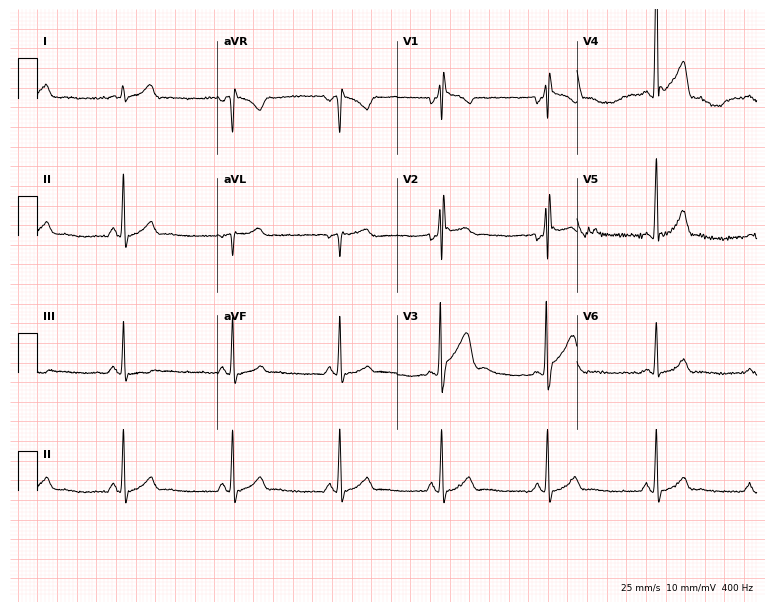
ECG — a man, 32 years old. Screened for six findings — first-degree AV block, right bundle branch block (RBBB), left bundle branch block (LBBB), sinus bradycardia, atrial fibrillation (AF), sinus tachycardia — none is recorded. Other findings, if any, are not listed.